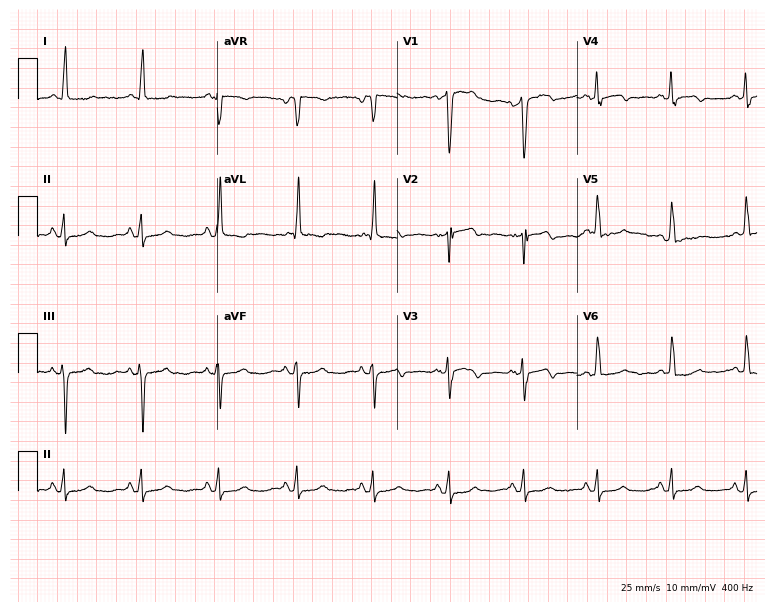
12-lead ECG from a 76-year-old woman. No first-degree AV block, right bundle branch block (RBBB), left bundle branch block (LBBB), sinus bradycardia, atrial fibrillation (AF) or sinus tachycardia recorded for this tracing.